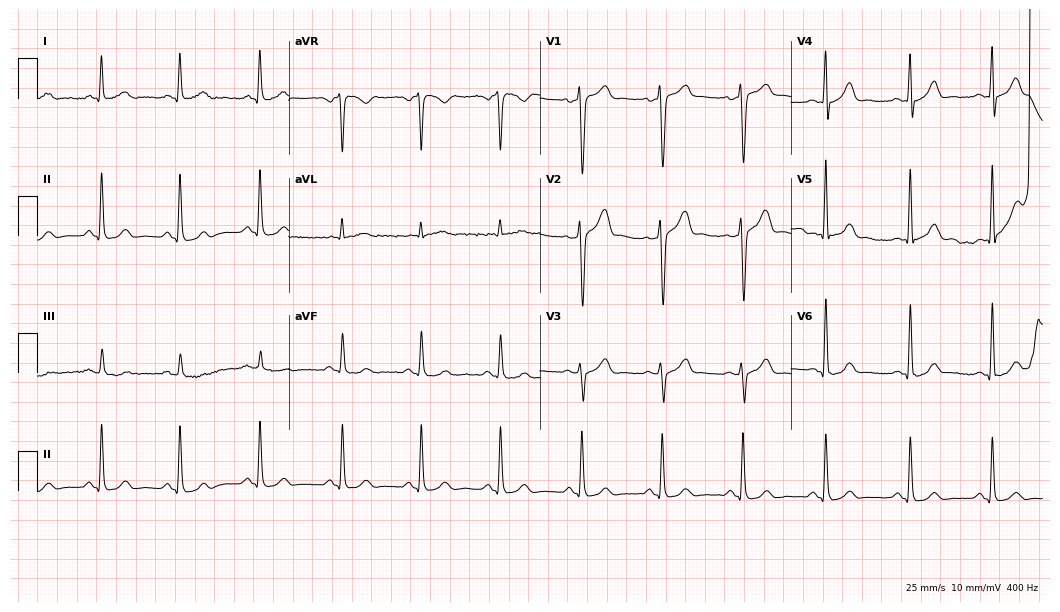
Resting 12-lead electrocardiogram. Patient: a 55-year-old male. Read as a normal ECG.